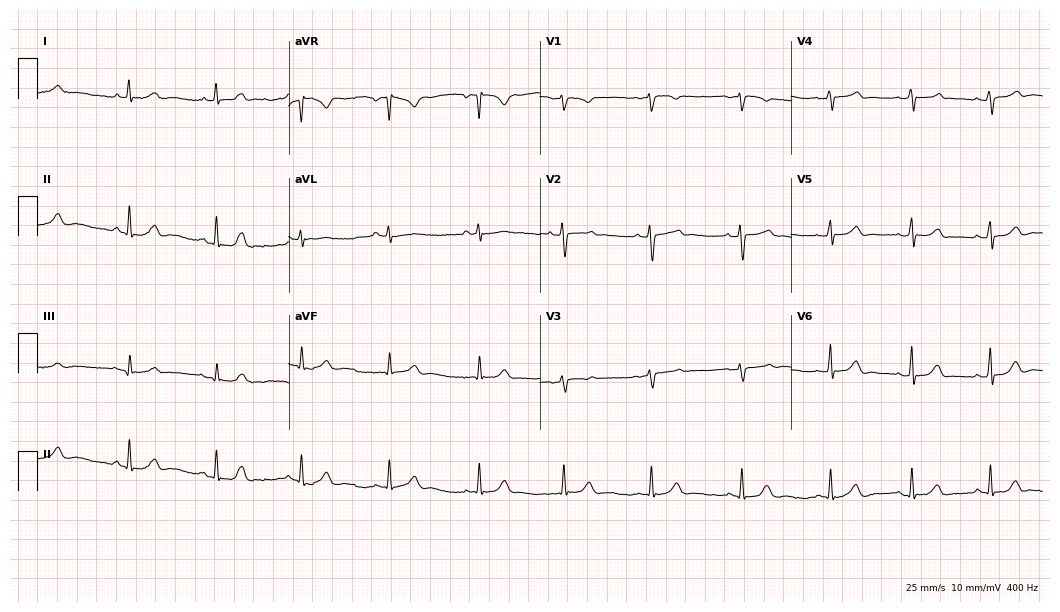
12-lead ECG from a woman, 21 years old (10.2-second recording at 400 Hz). No first-degree AV block, right bundle branch block, left bundle branch block, sinus bradycardia, atrial fibrillation or sinus tachycardia recorded for this tracing.